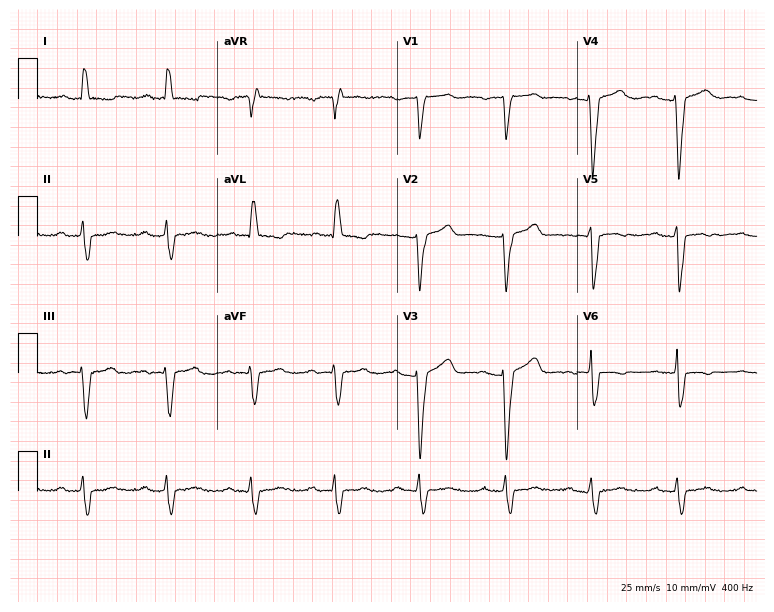
12-lead ECG from a female, 61 years old. Findings include first-degree AV block, left bundle branch block (LBBB).